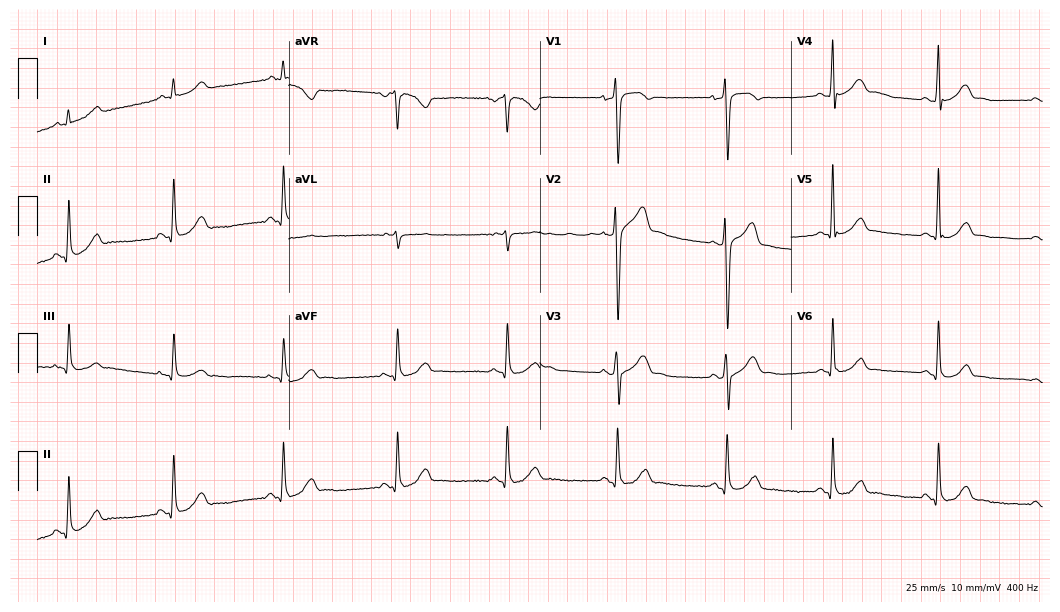
12-lead ECG (10.2-second recording at 400 Hz) from a 36-year-old man. Screened for six findings — first-degree AV block, right bundle branch block, left bundle branch block, sinus bradycardia, atrial fibrillation, sinus tachycardia — none is recorded.